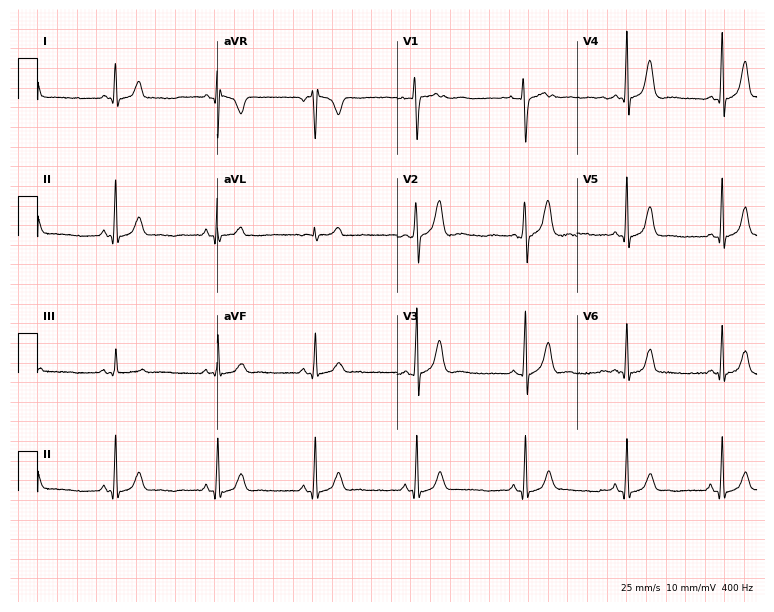
12-lead ECG from a female patient, 21 years old. Recorded interpretation: within normal limits.